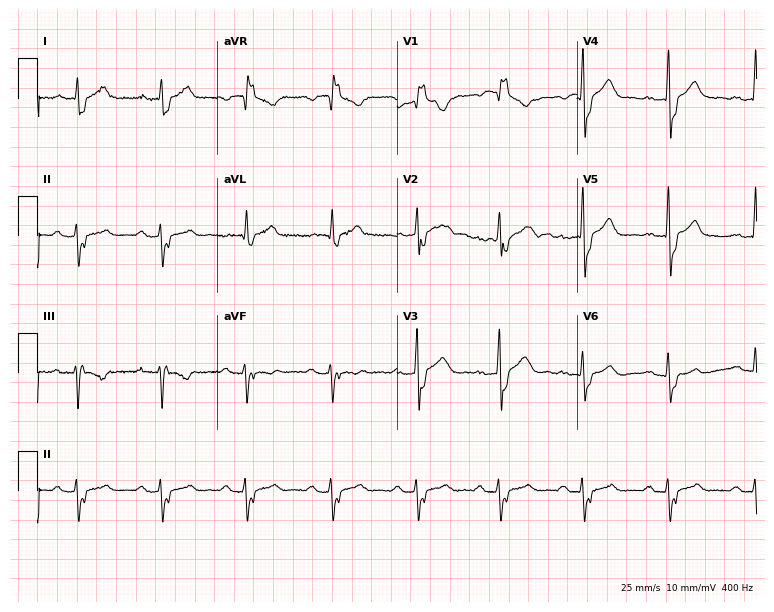
12-lead ECG from a male patient, 56 years old. No first-degree AV block, right bundle branch block, left bundle branch block, sinus bradycardia, atrial fibrillation or sinus tachycardia recorded for this tracing. Only these six findings were labelled.